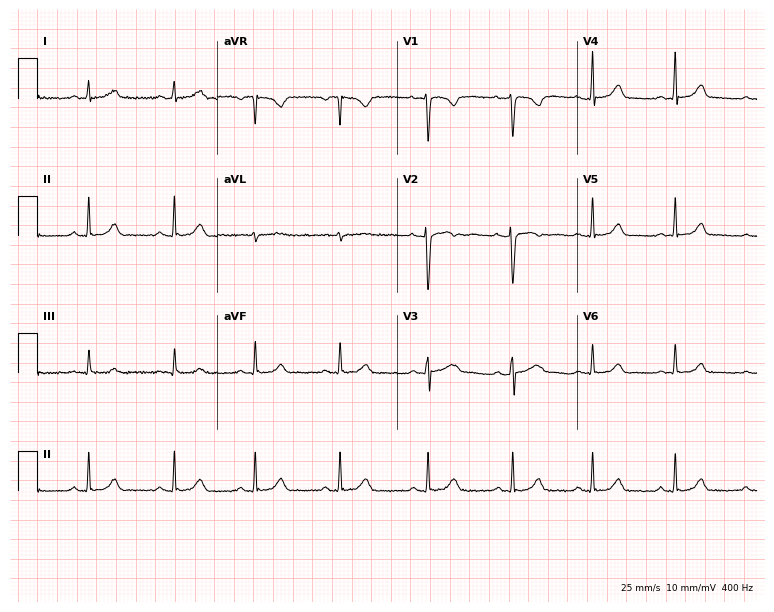
12-lead ECG (7.3-second recording at 400 Hz) from a 29-year-old female. Labelled as a normal ECG.